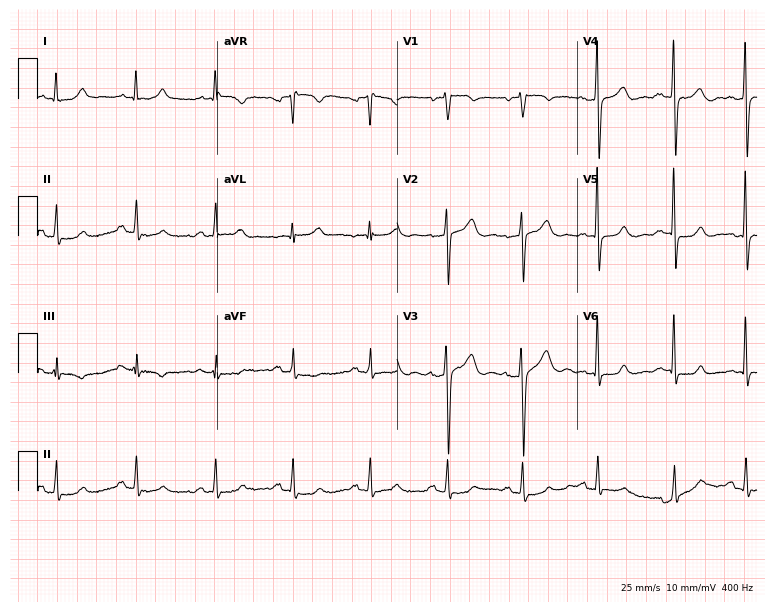
12-lead ECG (7.3-second recording at 400 Hz) from a 49-year-old male. Labelled as a normal ECG.